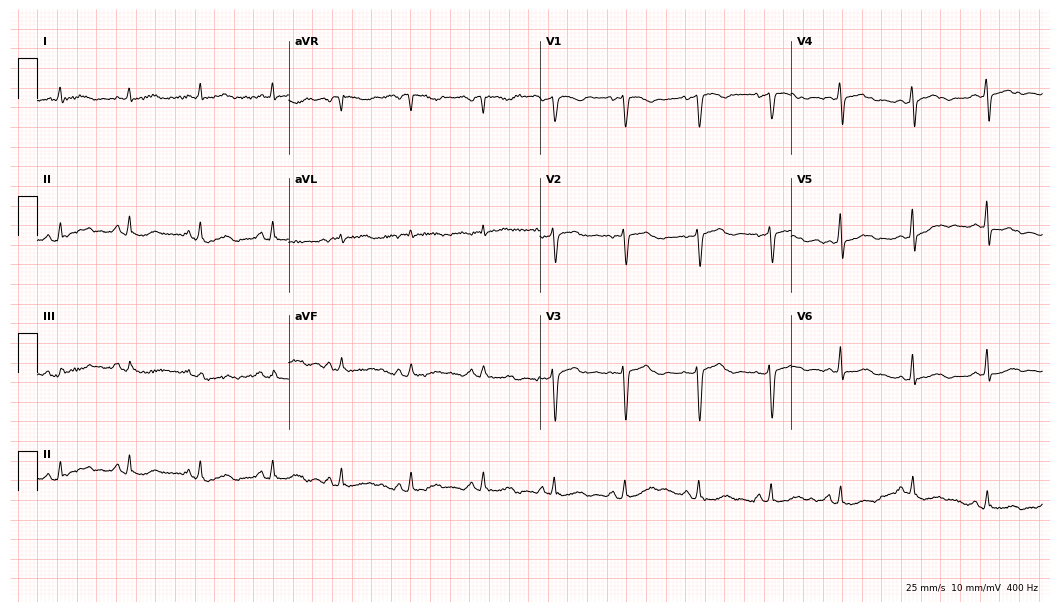
Resting 12-lead electrocardiogram. Patient: a 40-year-old female. None of these six findings is recorded: first-degree AV block, right bundle branch block, left bundle branch block, sinus bradycardia, atrial fibrillation, sinus tachycardia. Other findings, if any, are not listed.